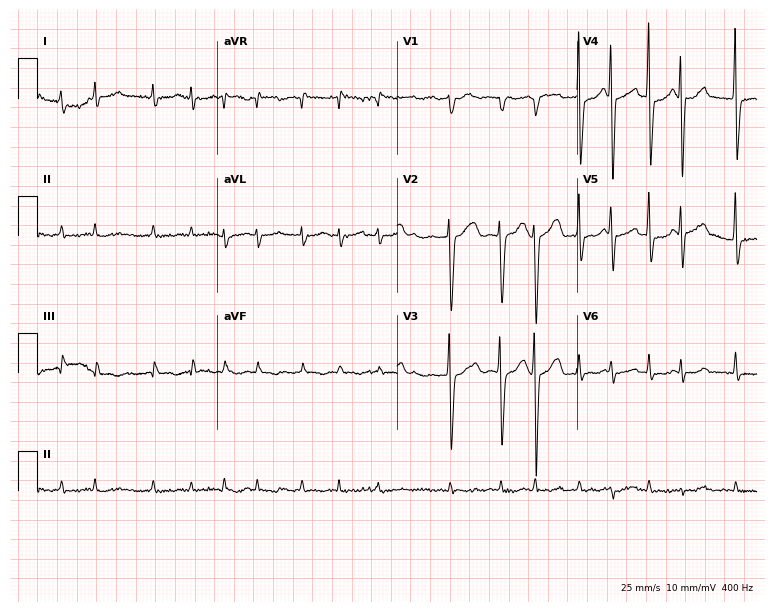
ECG (7.3-second recording at 400 Hz) — a male, 78 years old. Findings include atrial fibrillation (AF).